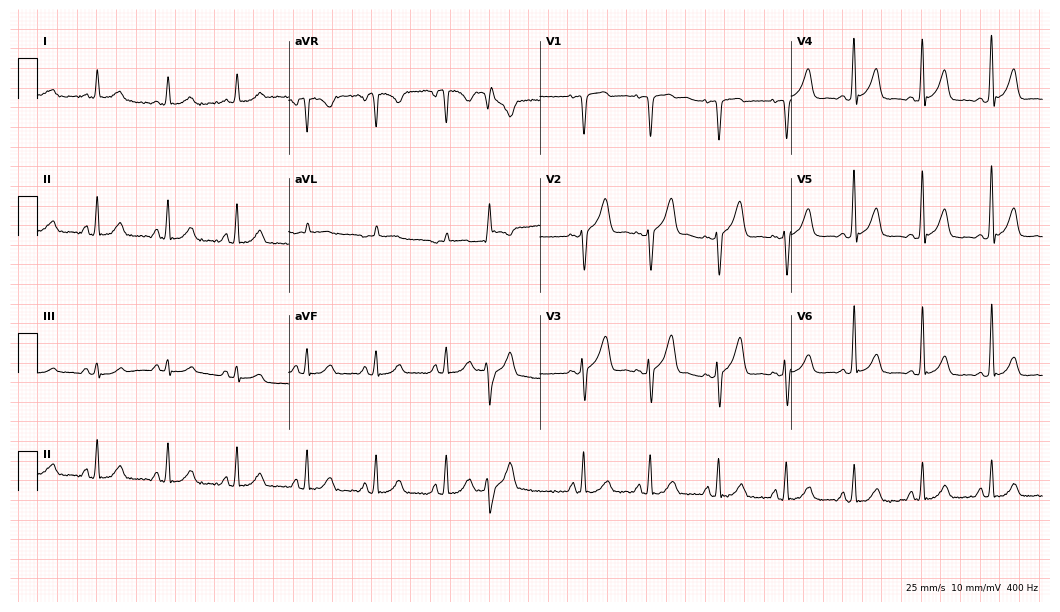
Standard 12-lead ECG recorded from a man, 66 years old. None of these six findings is recorded: first-degree AV block, right bundle branch block (RBBB), left bundle branch block (LBBB), sinus bradycardia, atrial fibrillation (AF), sinus tachycardia. Findings outside these six are not listed.